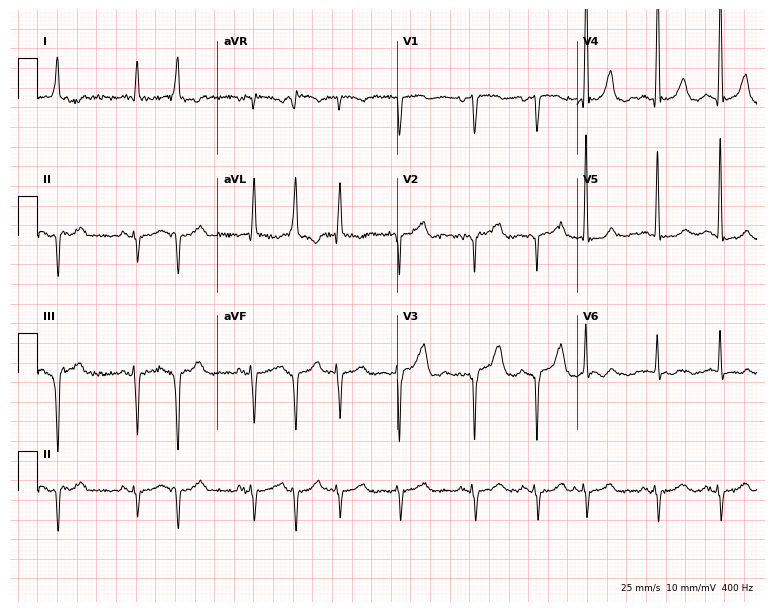
Standard 12-lead ECG recorded from a 79-year-old male patient (7.3-second recording at 400 Hz). None of these six findings is recorded: first-degree AV block, right bundle branch block, left bundle branch block, sinus bradycardia, atrial fibrillation, sinus tachycardia.